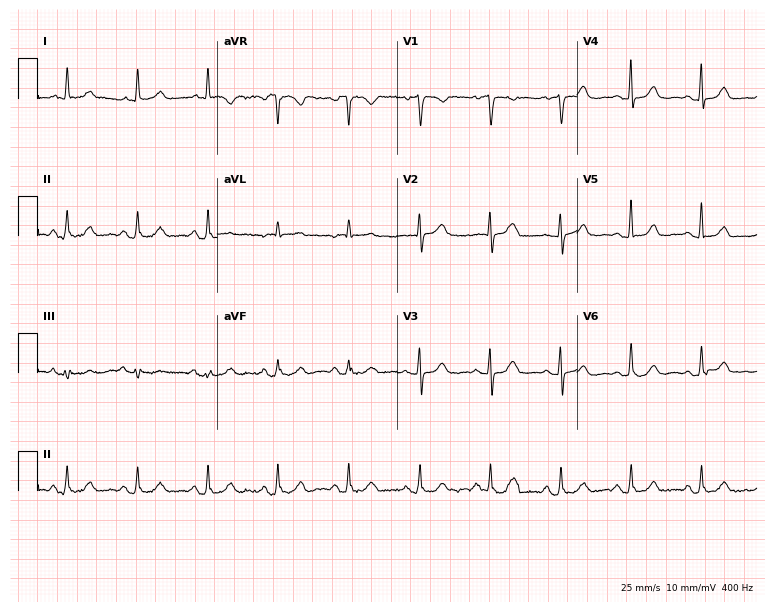
ECG (7.3-second recording at 400 Hz) — a female, 79 years old. Labelled as a normal ECG.